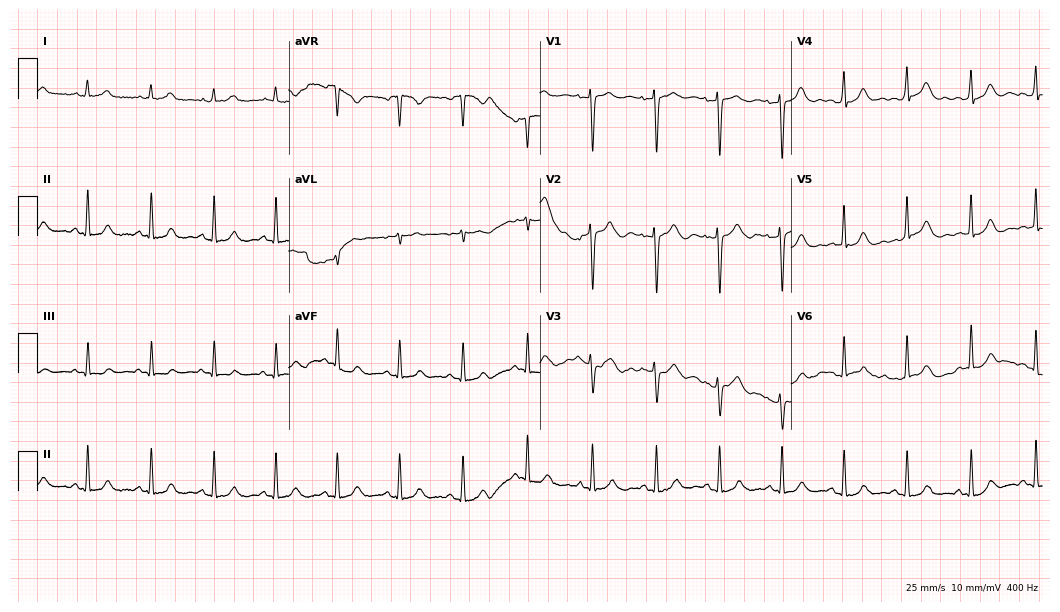
12-lead ECG from a 41-year-old woman. Recorded interpretation: within normal limits.